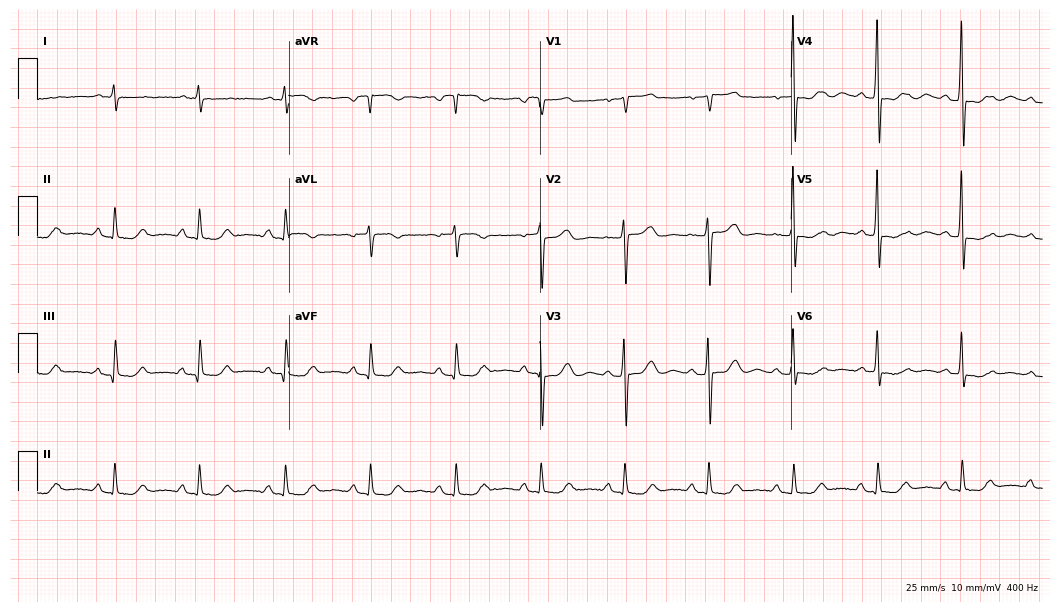
Electrocardiogram (10.2-second recording at 400 Hz), a woman, 65 years old. Of the six screened findings (first-degree AV block, right bundle branch block, left bundle branch block, sinus bradycardia, atrial fibrillation, sinus tachycardia), none is recorded. Only these six findings were labelled.